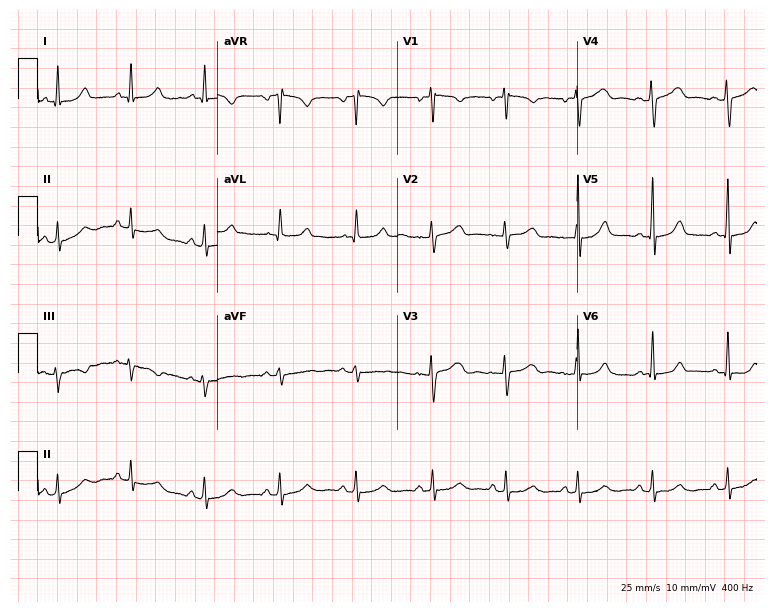
ECG (7.3-second recording at 400 Hz) — a 45-year-old woman. Labelled as a normal ECG.